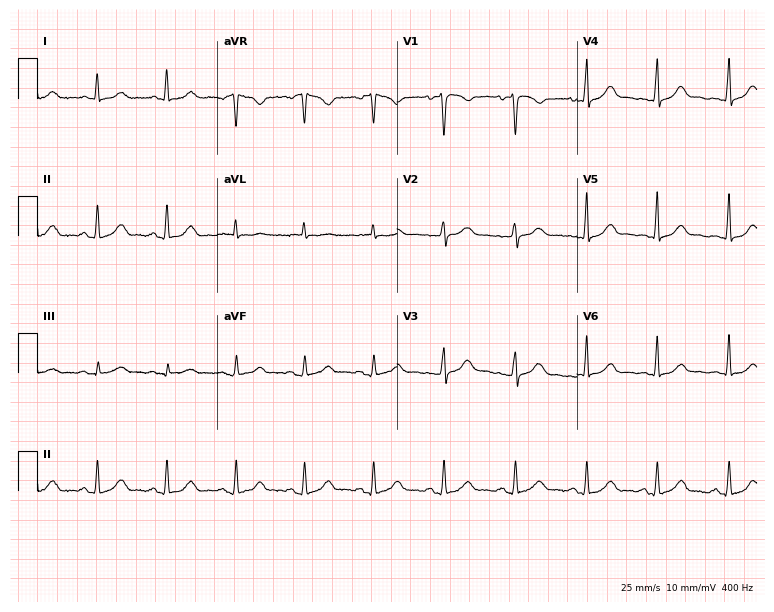
12-lead ECG (7.3-second recording at 400 Hz) from a 37-year-old female patient. Screened for six findings — first-degree AV block, right bundle branch block, left bundle branch block, sinus bradycardia, atrial fibrillation, sinus tachycardia — none is recorded.